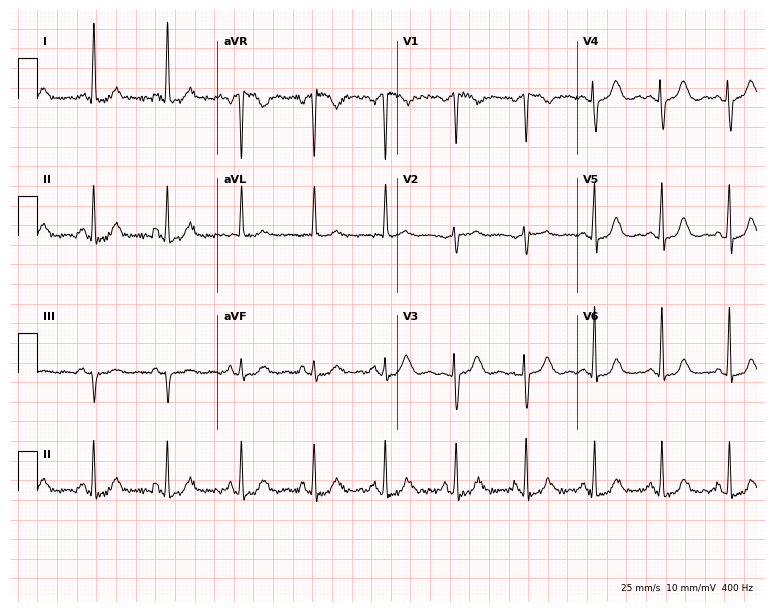
Electrocardiogram (7.3-second recording at 400 Hz), a woman, 67 years old. Of the six screened findings (first-degree AV block, right bundle branch block (RBBB), left bundle branch block (LBBB), sinus bradycardia, atrial fibrillation (AF), sinus tachycardia), none is recorded.